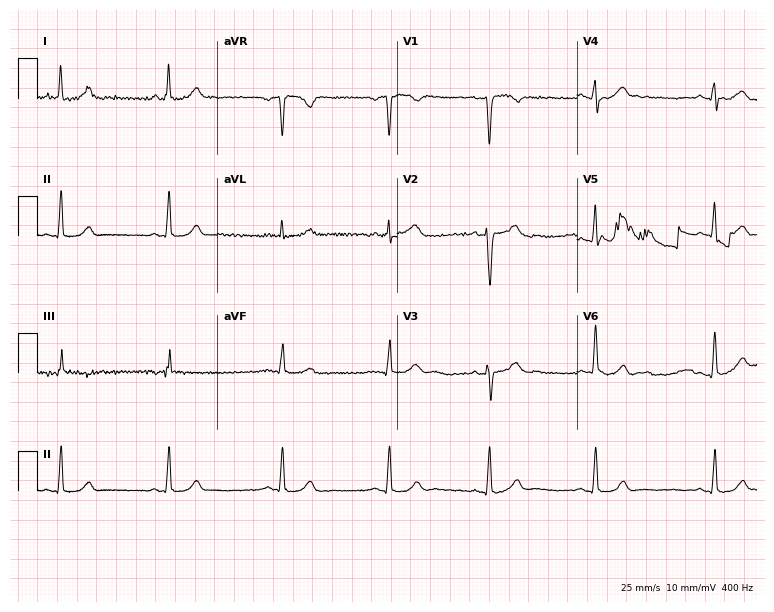
Standard 12-lead ECG recorded from a 33-year-old male (7.3-second recording at 400 Hz). None of these six findings is recorded: first-degree AV block, right bundle branch block (RBBB), left bundle branch block (LBBB), sinus bradycardia, atrial fibrillation (AF), sinus tachycardia. Findings outside these six are not listed.